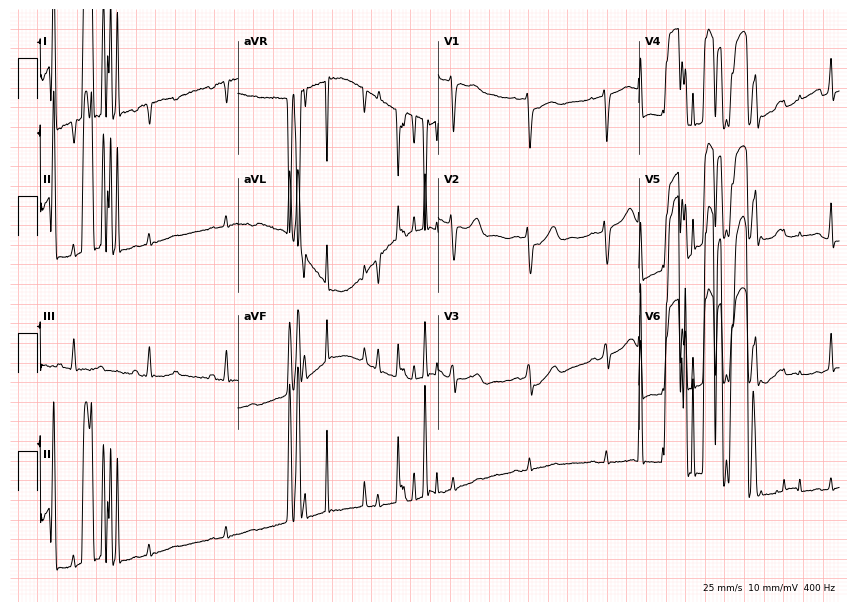
Resting 12-lead electrocardiogram. Patient: a 39-year-old female. None of these six findings is recorded: first-degree AV block, right bundle branch block, left bundle branch block, sinus bradycardia, atrial fibrillation, sinus tachycardia.